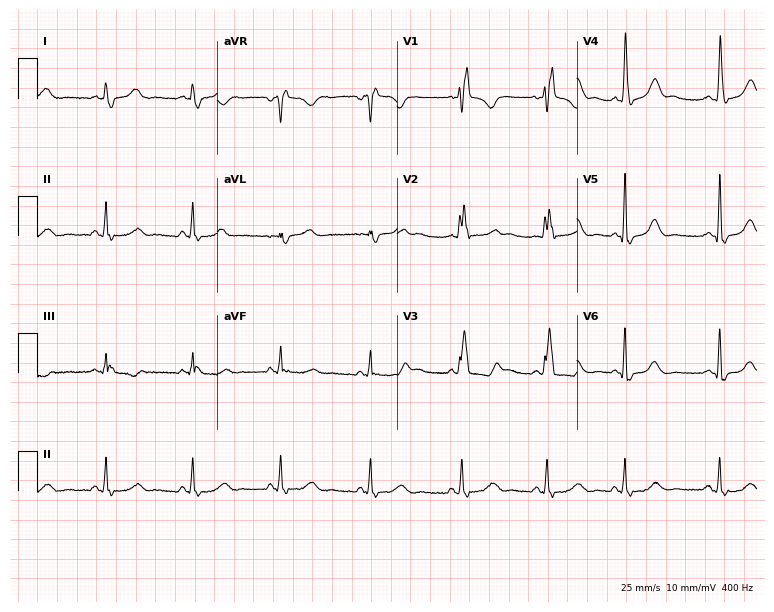
Resting 12-lead electrocardiogram (7.3-second recording at 400 Hz). Patient: a female, 57 years old. The tracing shows right bundle branch block.